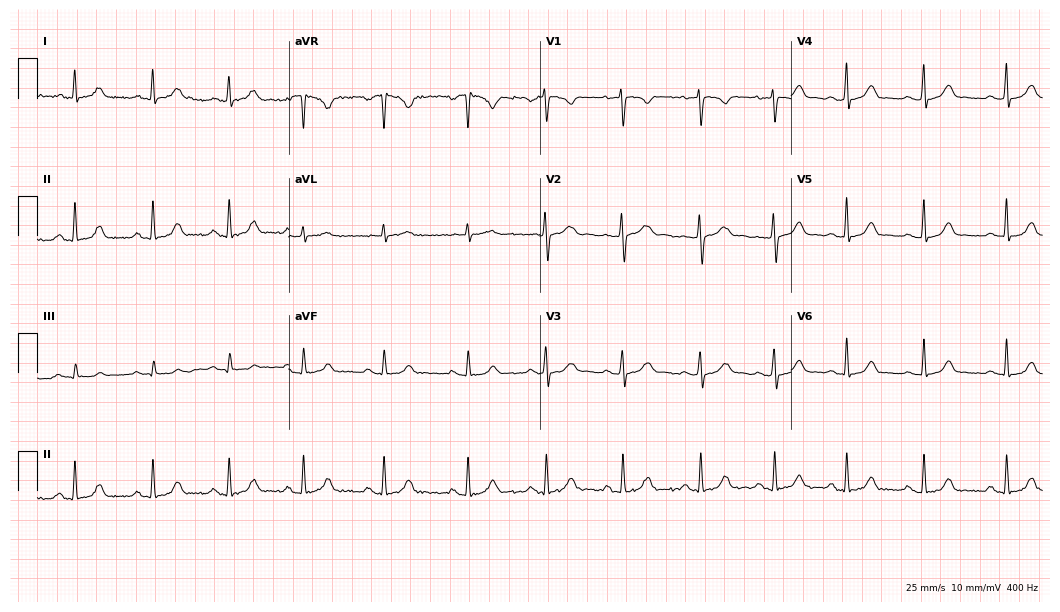
ECG (10.2-second recording at 400 Hz) — a female patient, 27 years old. Labelled as a normal ECG.